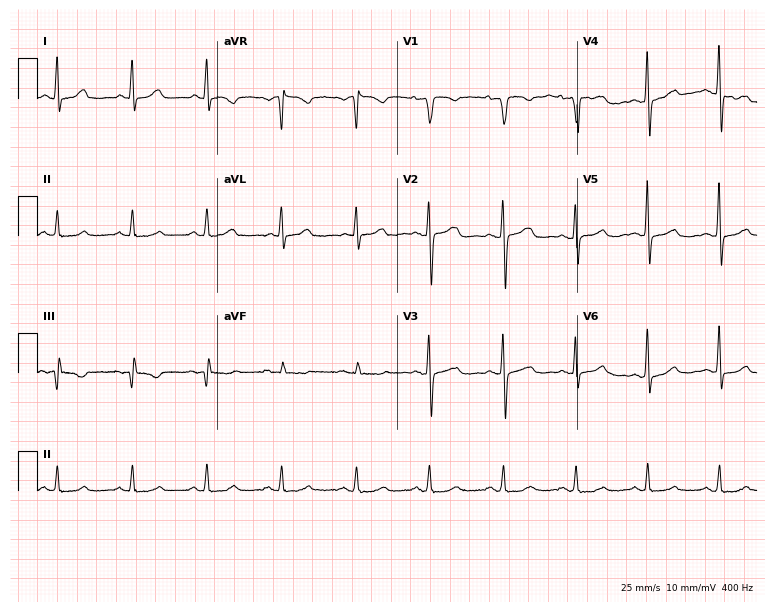
Resting 12-lead electrocardiogram (7.3-second recording at 400 Hz). Patient: a female, 47 years old. Read as a normal ECG.